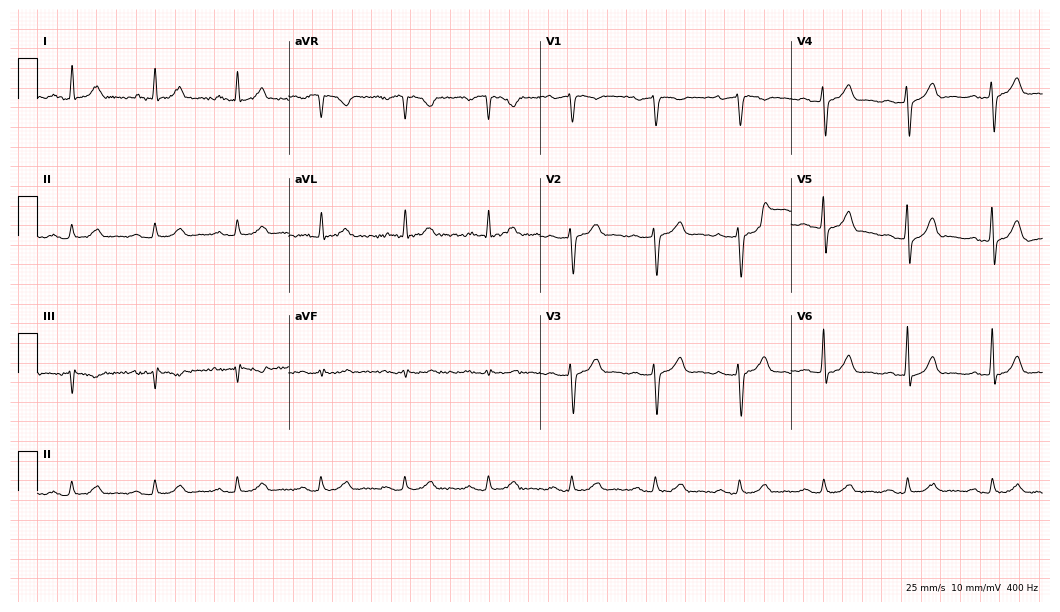
Electrocardiogram, a male, 76 years old. Overall reading on record: normal ECG.